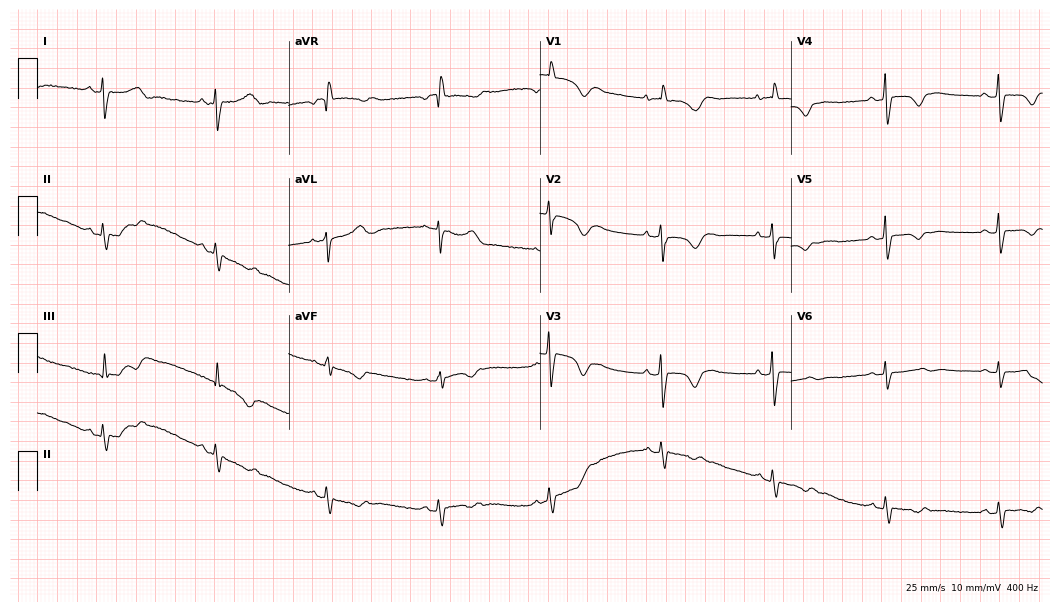
Resting 12-lead electrocardiogram (10.2-second recording at 400 Hz). Patient: a 41-year-old woman. None of these six findings is recorded: first-degree AV block, right bundle branch block, left bundle branch block, sinus bradycardia, atrial fibrillation, sinus tachycardia. Findings outside these six are not listed.